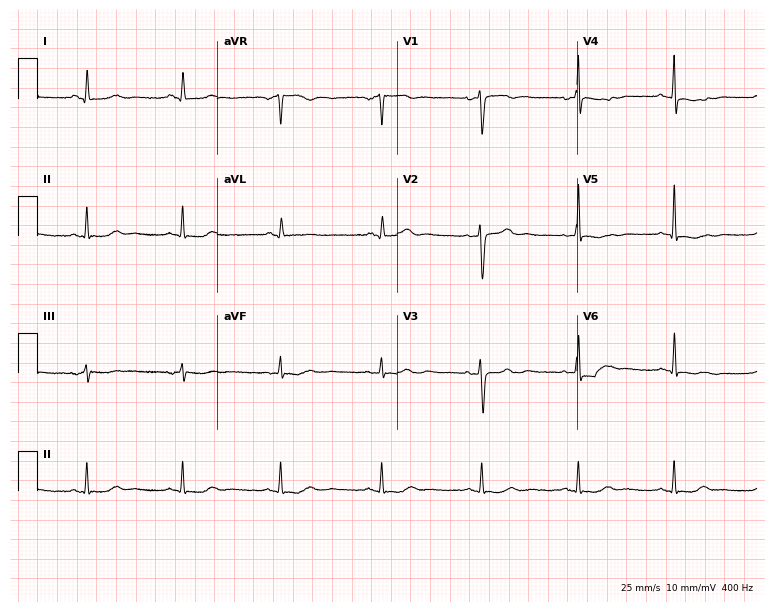
ECG (7.3-second recording at 400 Hz) — a female patient, 69 years old. Screened for six findings — first-degree AV block, right bundle branch block (RBBB), left bundle branch block (LBBB), sinus bradycardia, atrial fibrillation (AF), sinus tachycardia — none is recorded. Other findings, if any, are not listed.